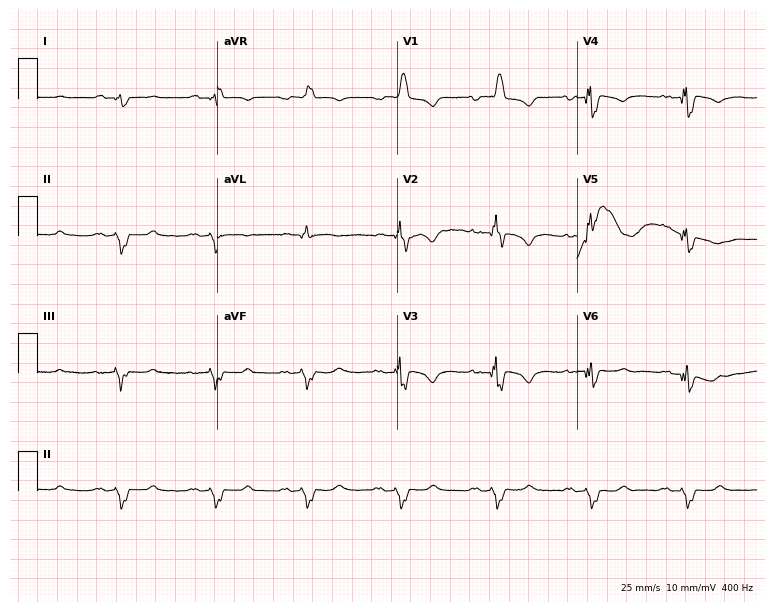
ECG (7.3-second recording at 400 Hz) — a 48-year-old male. Findings include right bundle branch block (RBBB).